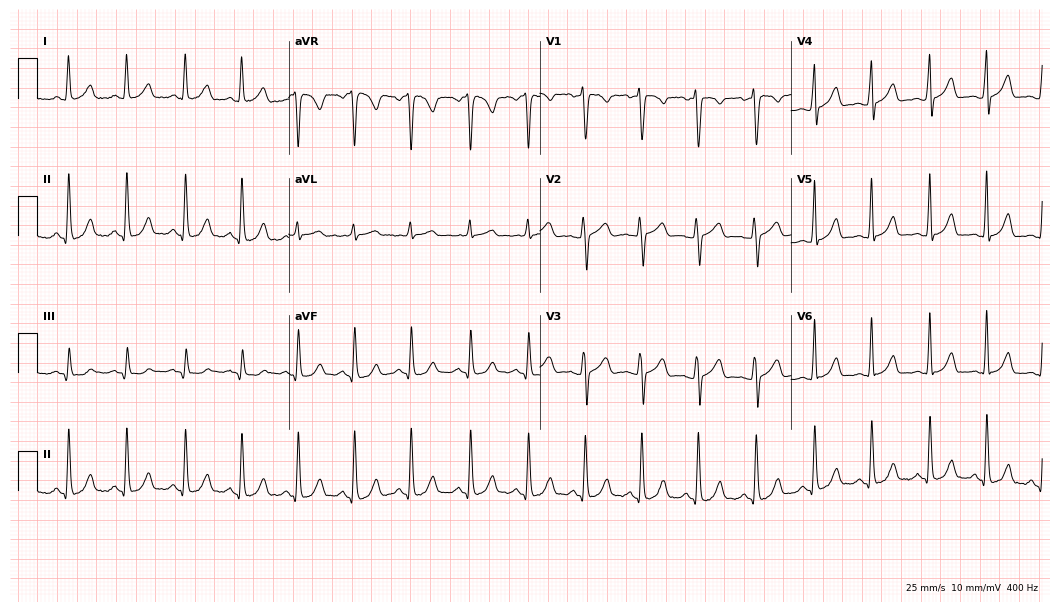
12-lead ECG from a female, 36 years old (10.2-second recording at 400 Hz). Shows sinus tachycardia (a sinus rate of 100 beats per minute or more).